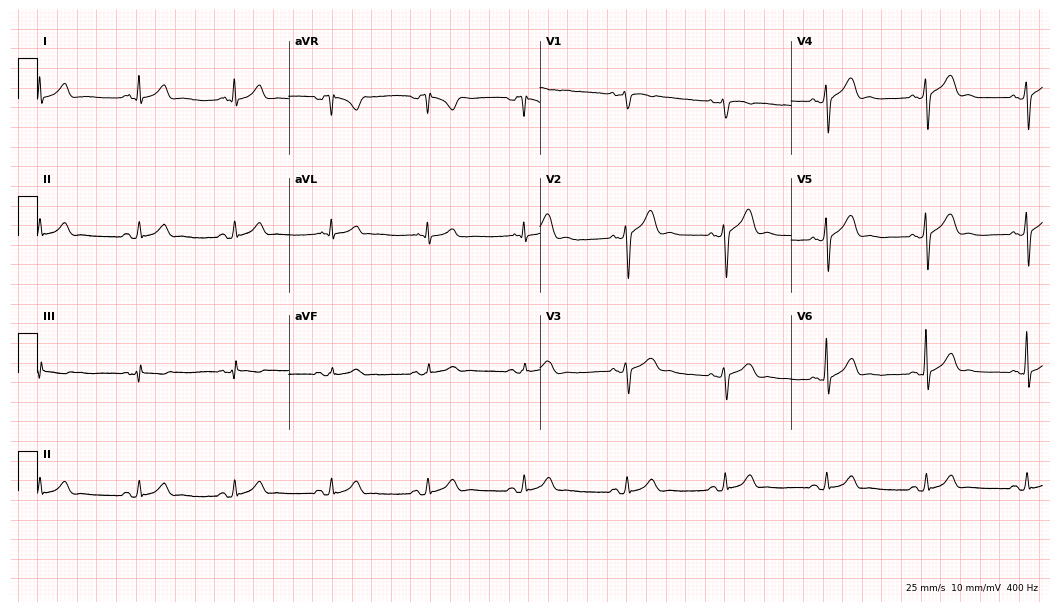
12-lead ECG (10.2-second recording at 400 Hz) from a 44-year-old male. Labelled as a normal ECG.